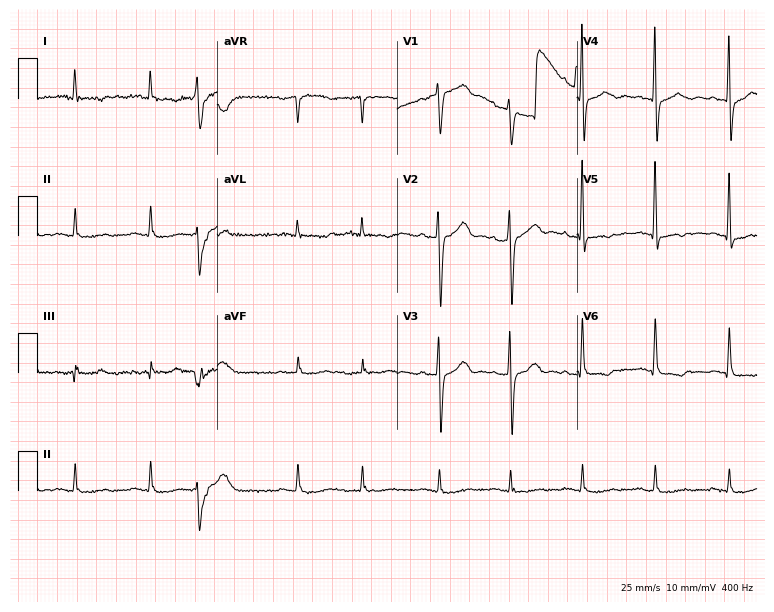
12-lead ECG from a man, 77 years old. No first-degree AV block, right bundle branch block (RBBB), left bundle branch block (LBBB), sinus bradycardia, atrial fibrillation (AF) or sinus tachycardia recorded for this tracing.